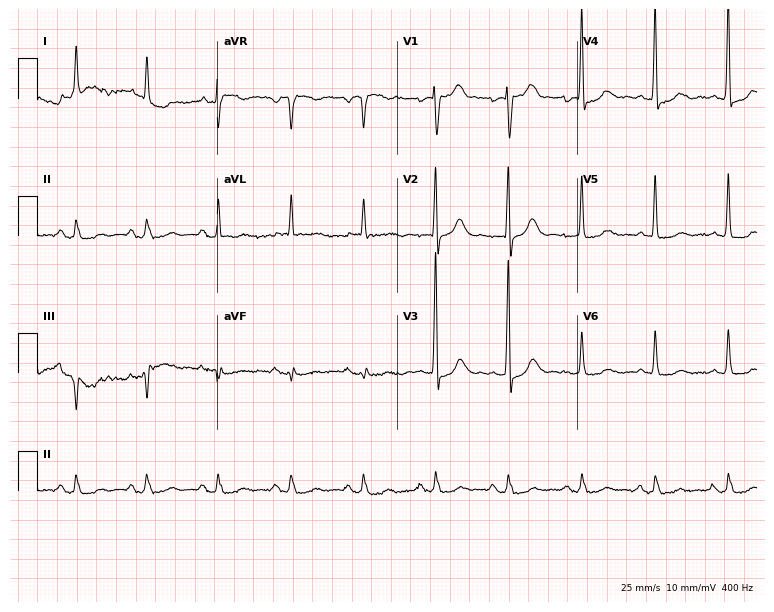
Standard 12-lead ECG recorded from a male patient, 83 years old (7.3-second recording at 400 Hz). None of these six findings is recorded: first-degree AV block, right bundle branch block, left bundle branch block, sinus bradycardia, atrial fibrillation, sinus tachycardia. Other findings, if any, are not listed.